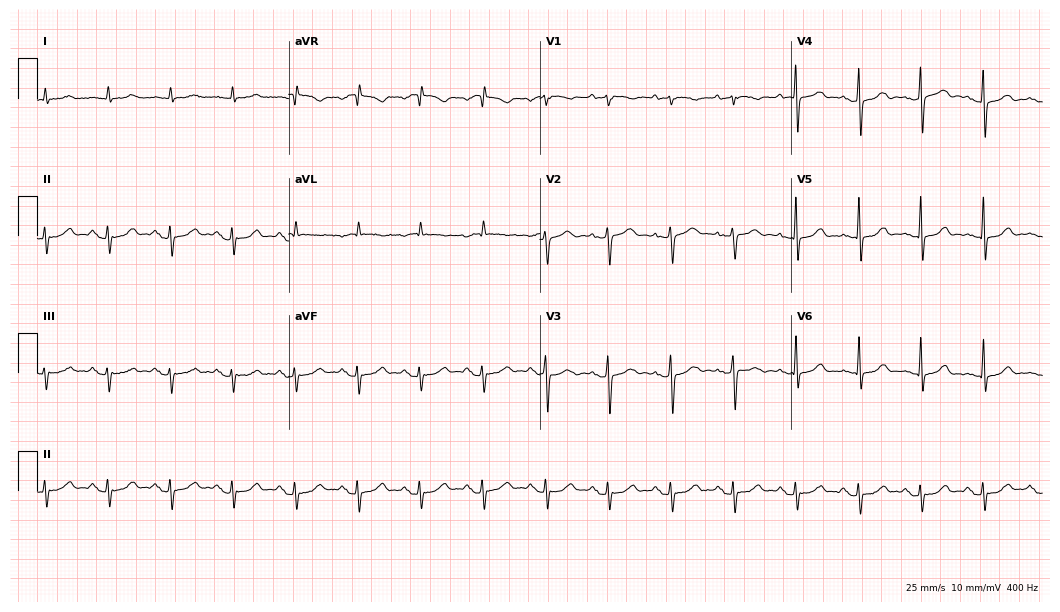
Electrocardiogram (10.2-second recording at 400 Hz), an 84-year-old woman. Overall reading on record: normal ECG.